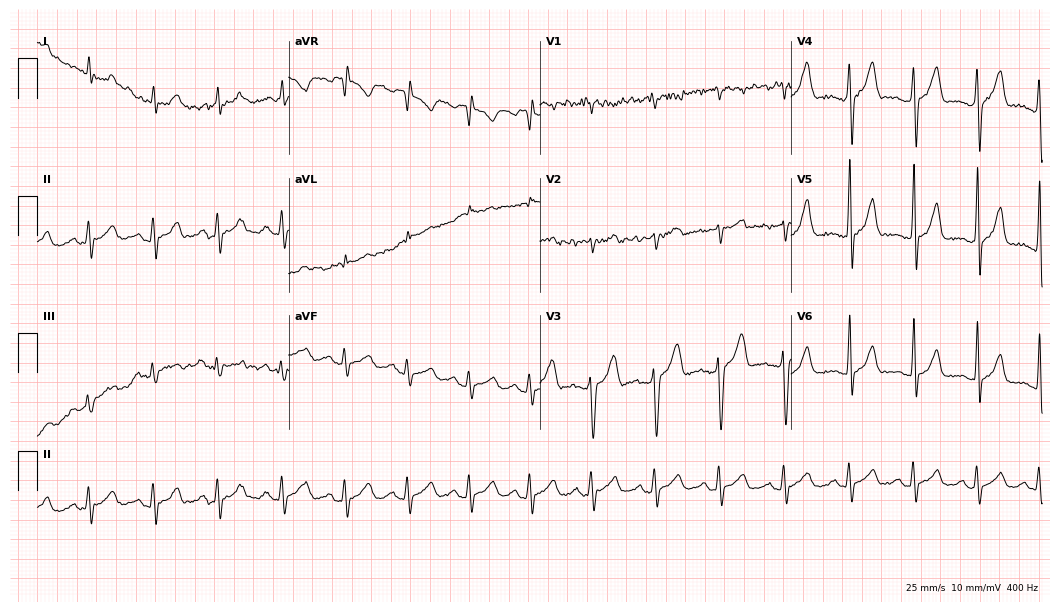
12-lead ECG (10.2-second recording at 400 Hz) from a male patient, 20 years old. Labelled as a normal ECG.